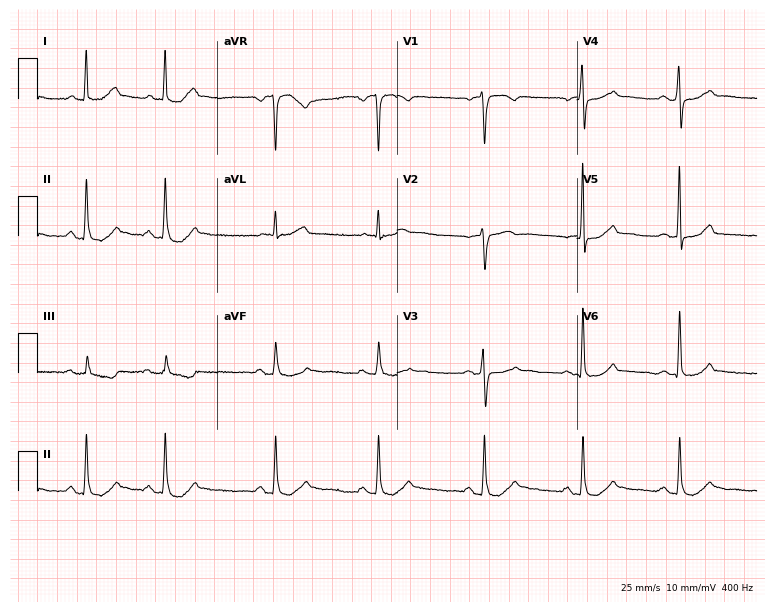
Resting 12-lead electrocardiogram (7.3-second recording at 400 Hz). Patient: a female, 65 years old. None of these six findings is recorded: first-degree AV block, right bundle branch block (RBBB), left bundle branch block (LBBB), sinus bradycardia, atrial fibrillation (AF), sinus tachycardia.